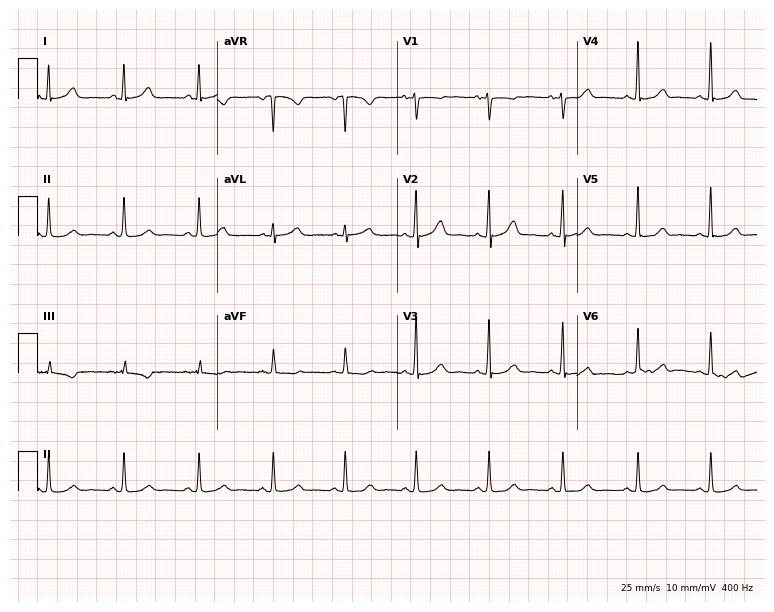
Resting 12-lead electrocardiogram (7.3-second recording at 400 Hz). Patient: a 36-year-old woman. Read as a normal ECG.